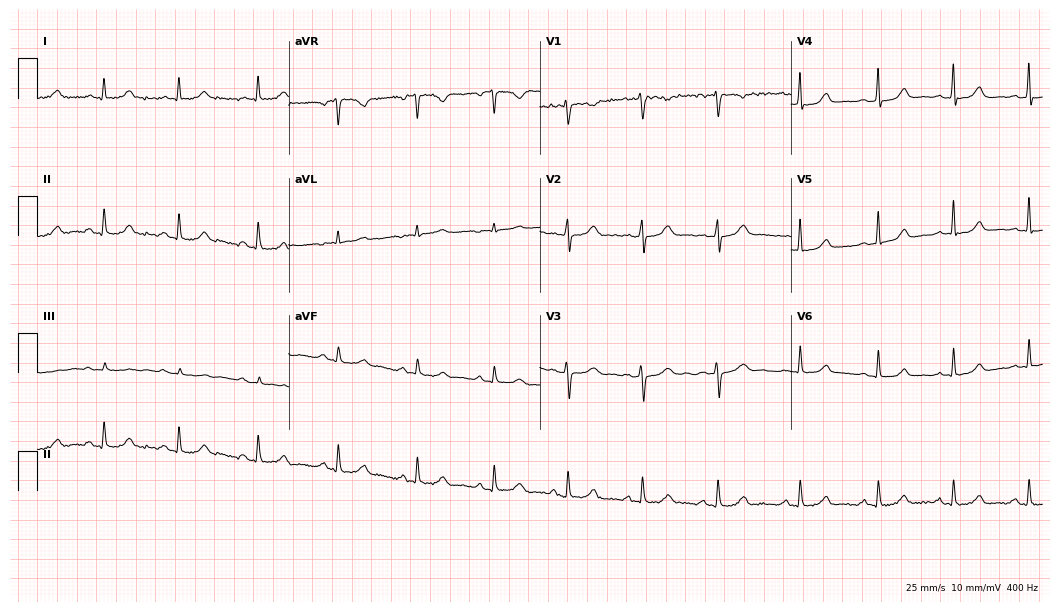
Electrocardiogram, a woman, 37 years old. Overall reading on record: normal ECG.